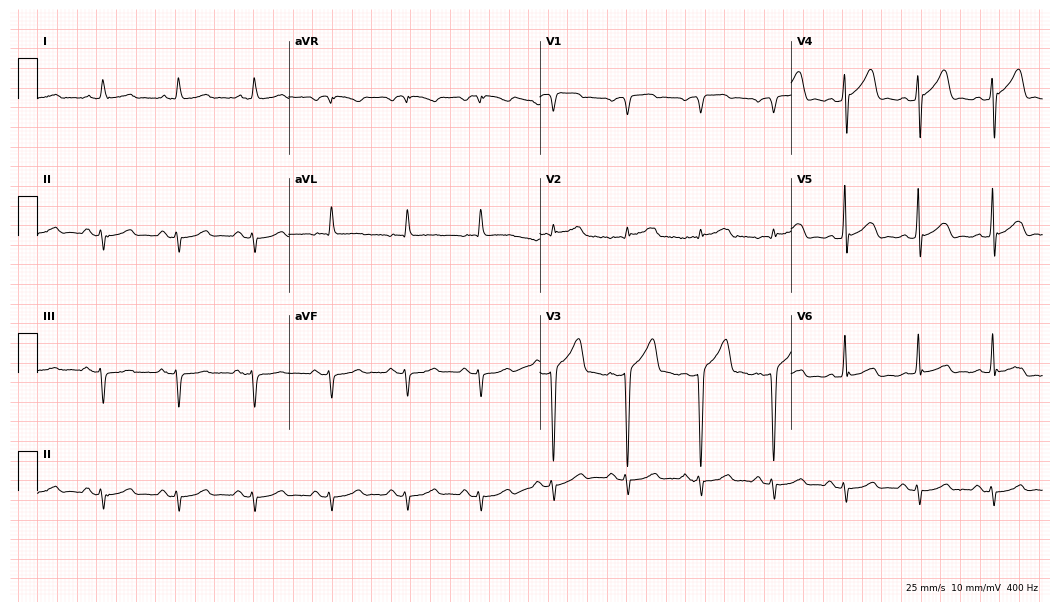
12-lead ECG from an 80-year-old man. Screened for six findings — first-degree AV block, right bundle branch block, left bundle branch block, sinus bradycardia, atrial fibrillation, sinus tachycardia — none is recorded. Other findings, if any, are not listed.